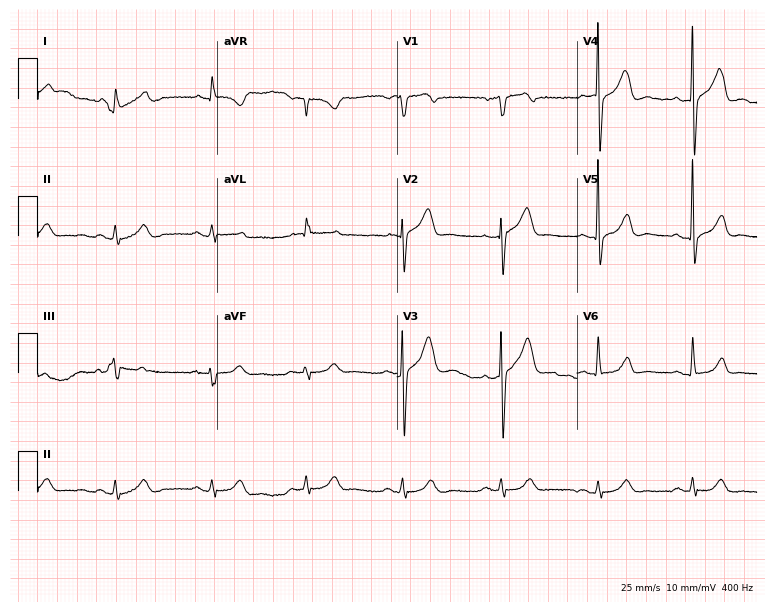
Electrocardiogram (7.3-second recording at 400 Hz), a 78-year-old male. Overall reading on record: normal ECG.